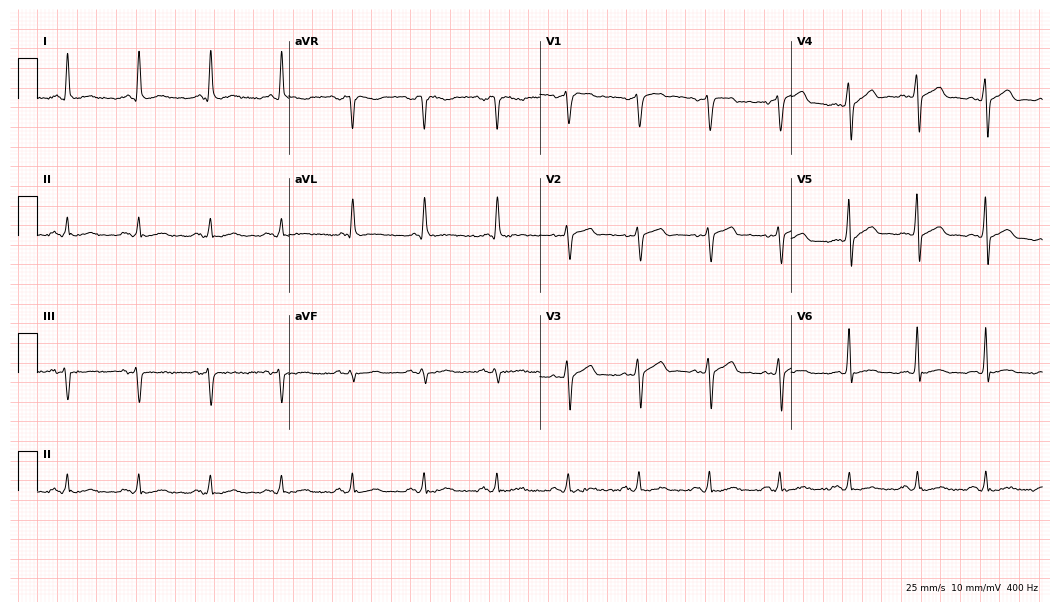
Standard 12-lead ECG recorded from a male, 46 years old (10.2-second recording at 400 Hz). None of these six findings is recorded: first-degree AV block, right bundle branch block, left bundle branch block, sinus bradycardia, atrial fibrillation, sinus tachycardia.